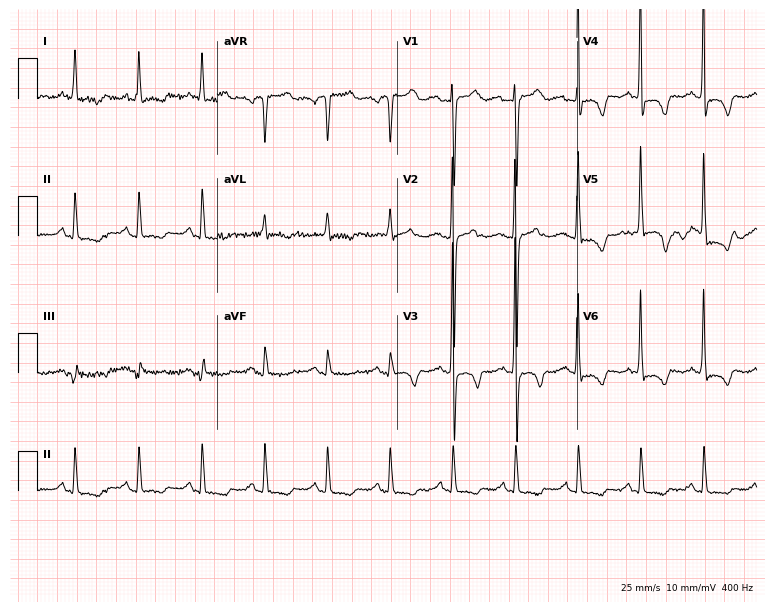
12-lead ECG from a 67-year-old female patient. Screened for six findings — first-degree AV block, right bundle branch block, left bundle branch block, sinus bradycardia, atrial fibrillation, sinus tachycardia — none is recorded. Findings outside these six are not listed.